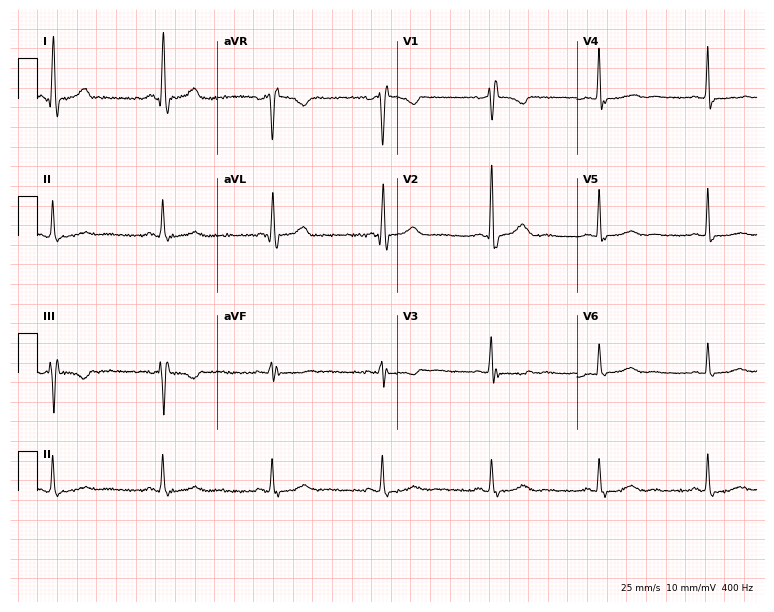
12-lead ECG from a female patient, 78 years old (7.3-second recording at 400 Hz). No first-degree AV block, right bundle branch block (RBBB), left bundle branch block (LBBB), sinus bradycardia, atrial fibrillation (AF) or sinus tachycardia recorded for this tracing. Other findings, if any, are not listed.